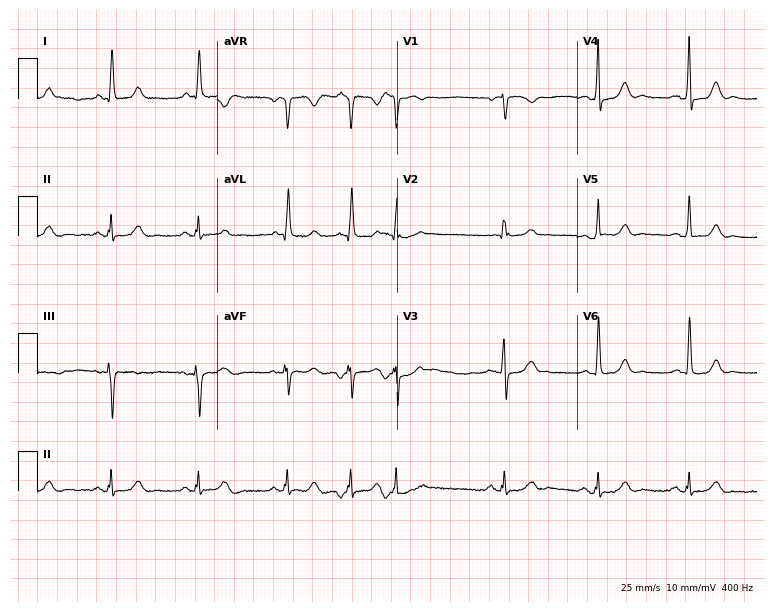
Electrocardiogram, a 63-year-old female. Of the six screened findings (first-degree AV block, right bundle branch block (RBBB), left bundle branch block (LBBB), sinus bradycardia, atrial fibrillation (AF), sinus tachycardia), none is recorded. Other findings, if any, are not listed.